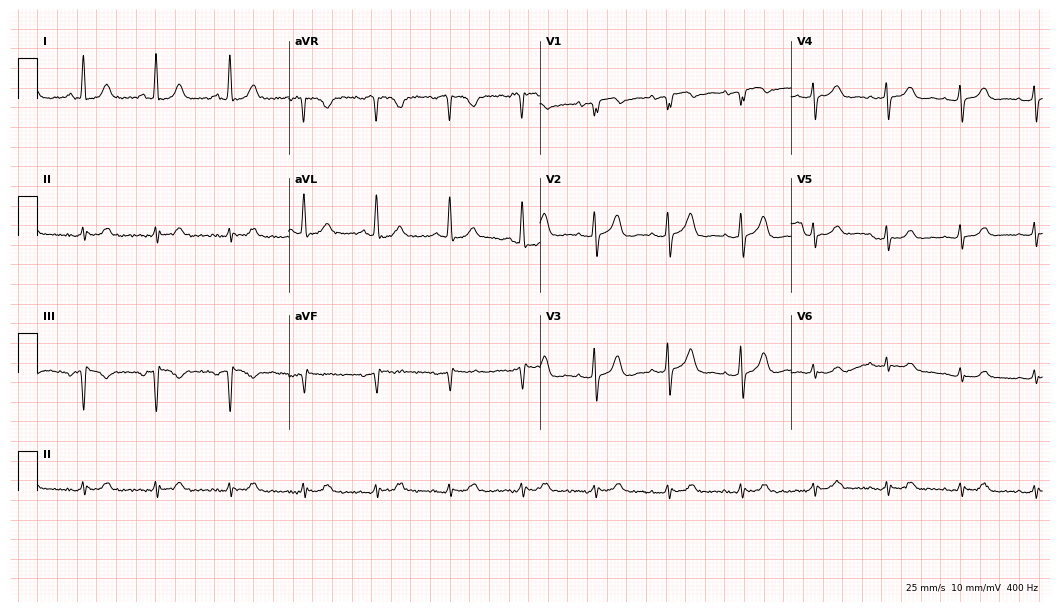
Standard 12-lead ECG recorded from an 80-year-old female patient. Read as a normal ECG.